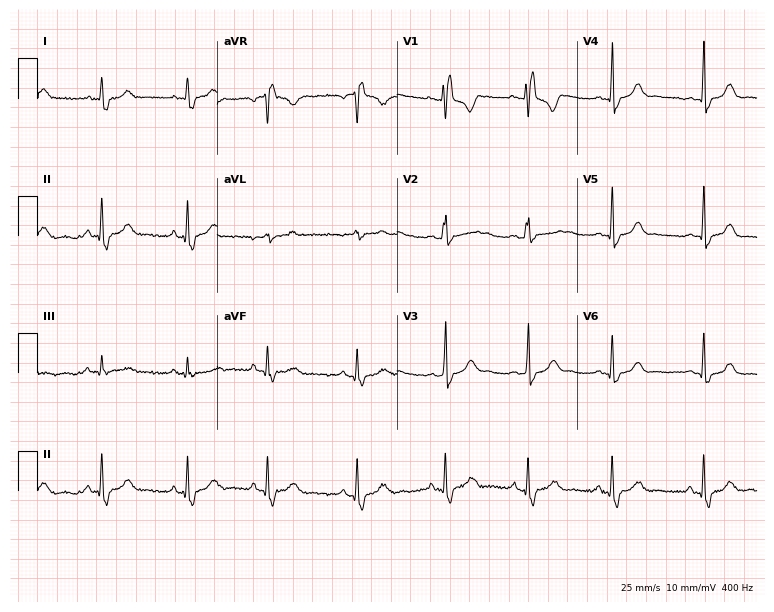
ECG (7.3-second recording at 400 Hz) — a female patient, 33 years old. Findings include right bundle branch block.